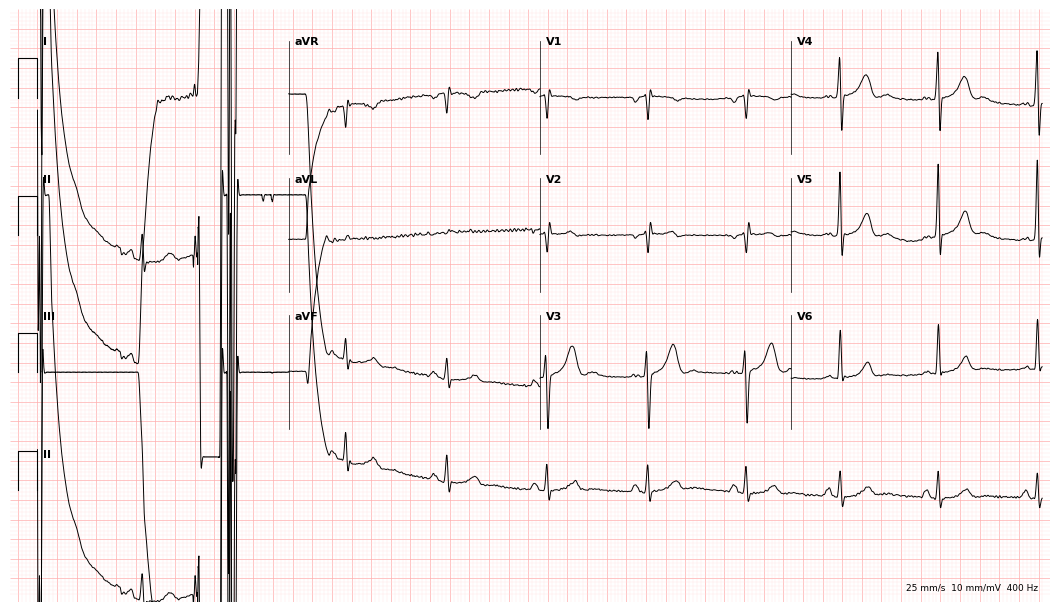
Electrocardiogram (10.2-second recording at 400 Hz), a male, 44 years old. Of the six screened findings (first-degree AV block, right bundle branch block, left bundle branch block, sinus bradycardia, atrial fibrillation, sinus tachycardia), none is recorded. Findings outside these six are not listed.